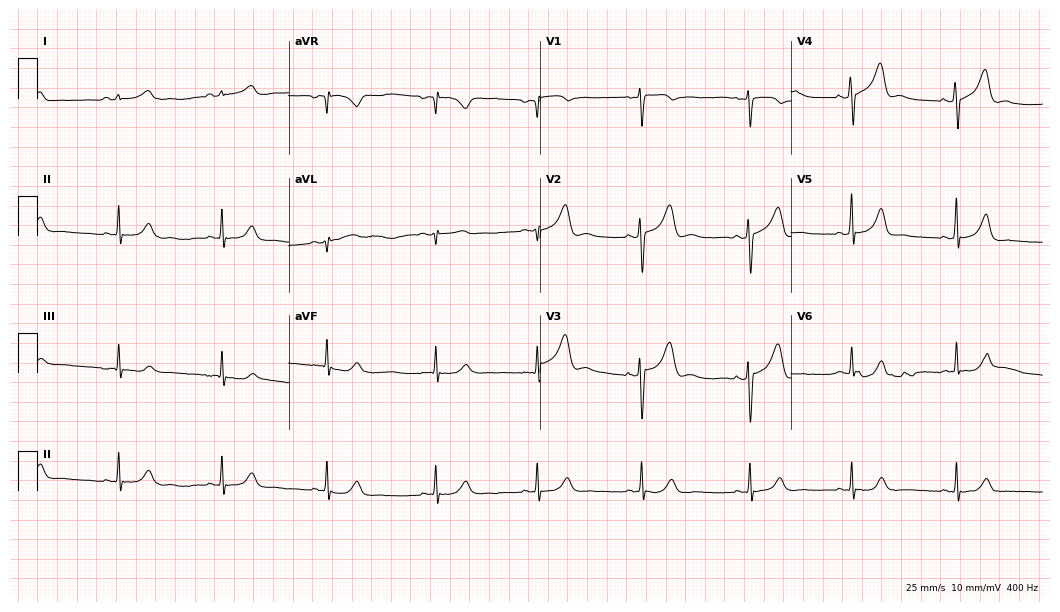
ECG (10.2-second recording at 400 Hz) — a female, 37 years old. Labelled as a normal ECG.